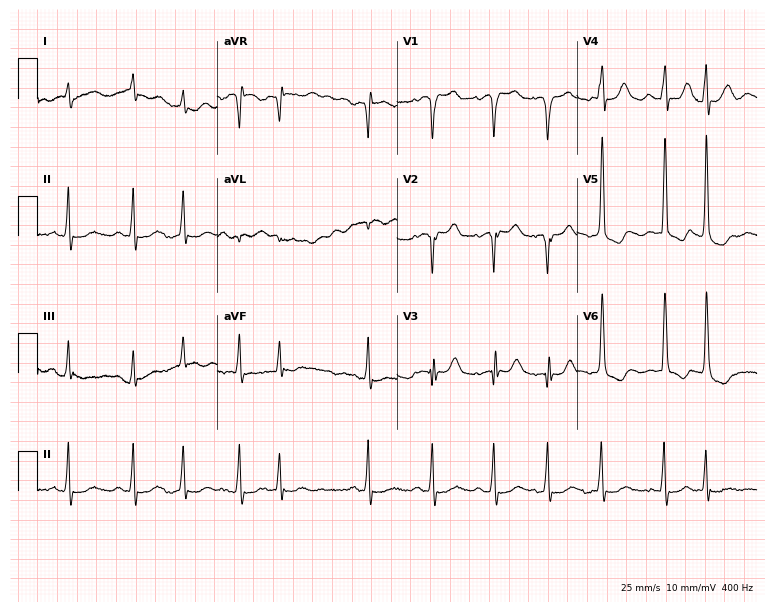
ECG (7.3-second recording at 400 Hz) — an 82-year-old female. Findings include atrial fibrillation.